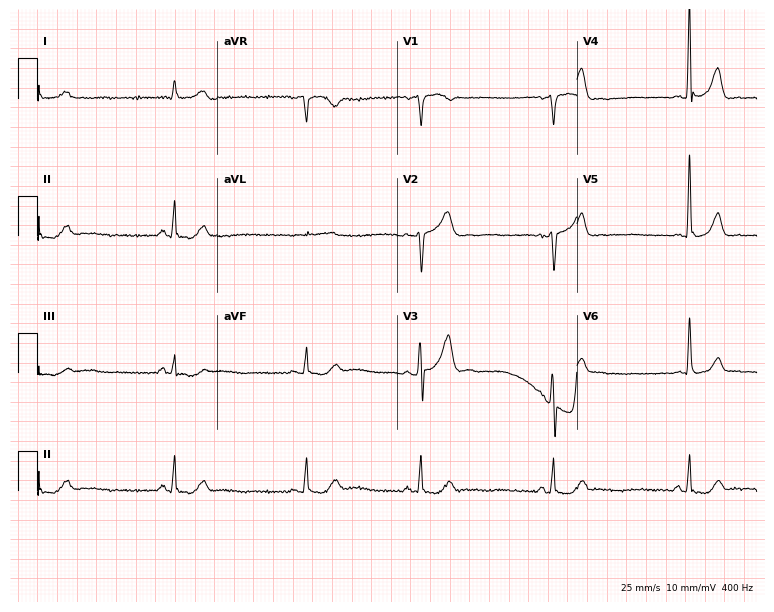
Electrocardiogram, a male, 76 years old. Interpretation includes sinus bradycardia (a sinus rate of 50 beats per minute or less).